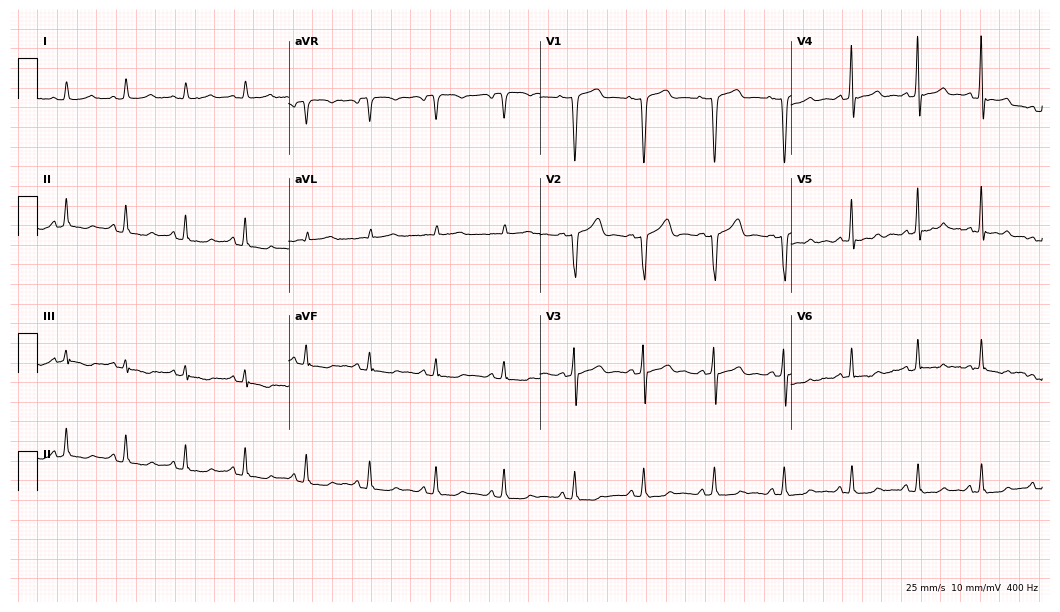
12-lead ECG from a woman, 43 years old. Labelled as a normal ECG.